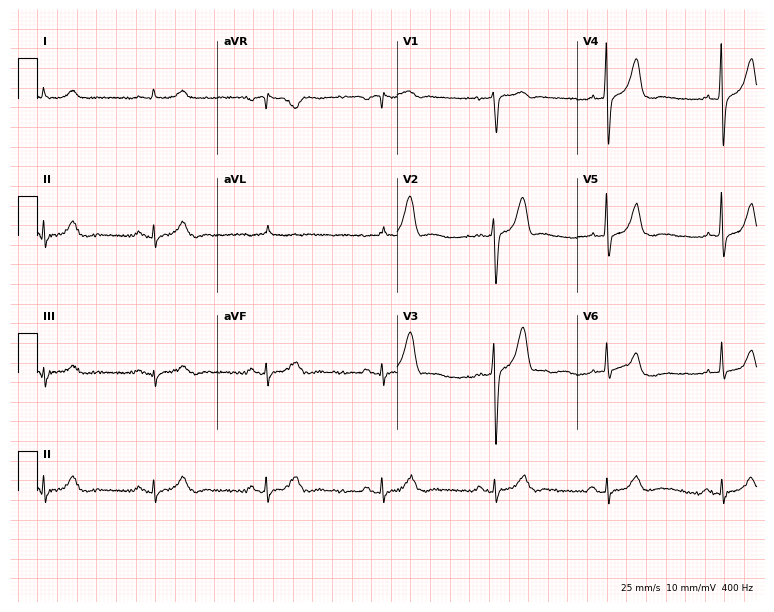
Standard 12-lead ECG recorded from a male, 57 years old (7.3-second recording at 400 Hz). Read as a normal ECG.